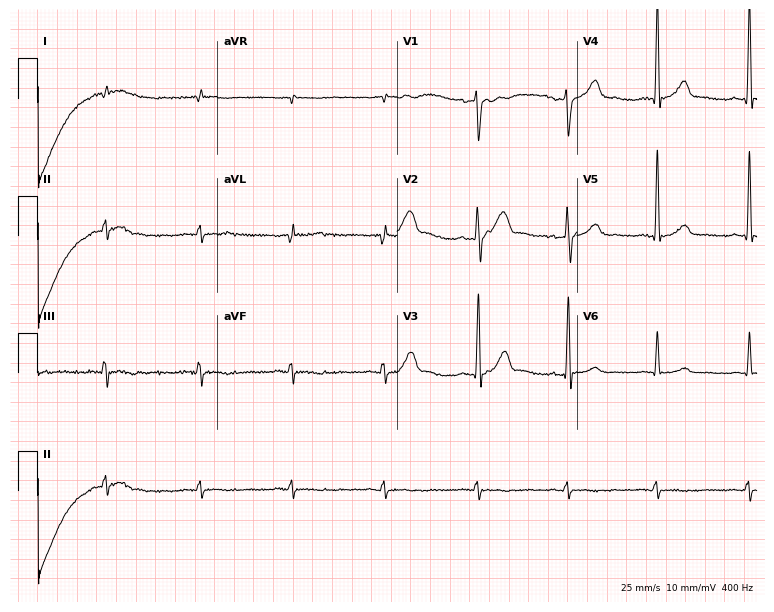
Standard 12-lead ECG recorded from a male patient, 48 years old. None of these six findings is recorded: first-degree AV block, right bundle branch block, left bundle branch block, sinus bradycardia, atrial fibrillation, sinus tachycardia.